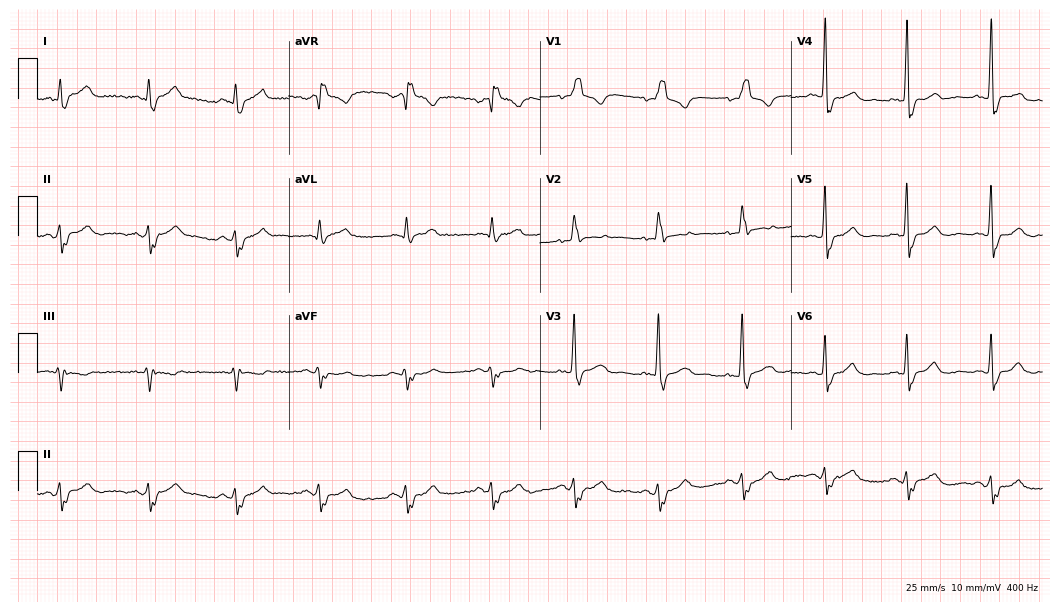
12-lead ECG from a 46-year-old male (10.2-second recording at 400 Hz). Shows right bundle branch block (RBBB).